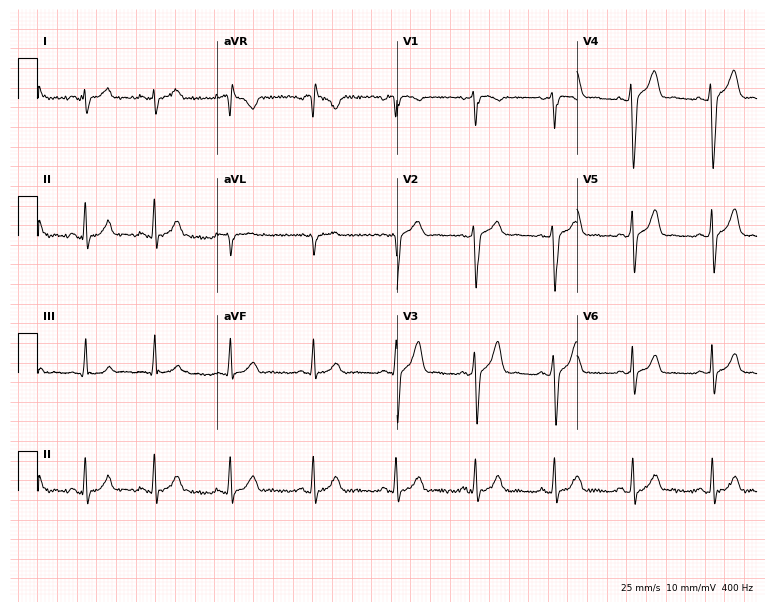
Electrocardiogram (7.3-second recording at 400 Hz), a 36-year-old man. Of the six screened findings (first-degree AV block, right bundle branch block, left bundle branch block, sinus bradycardia, atrial fibrillation, sinus tachycardia), none is recorded.